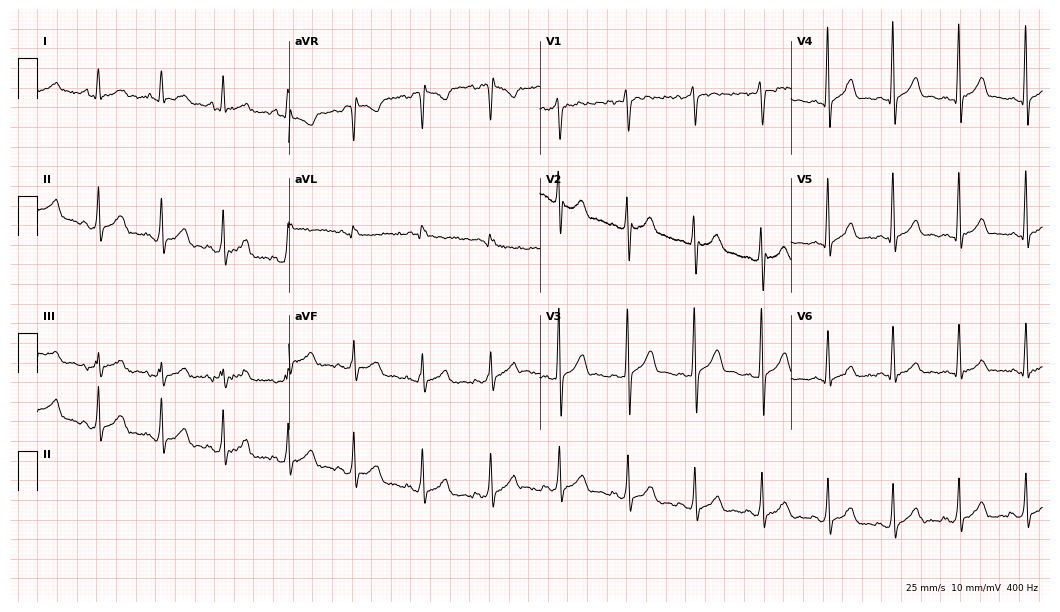
Resting 12-lead electrocardiogram (10.2-second recording at 400 Hz). Patient: a 21-year-old female. Read as a normal ECG.